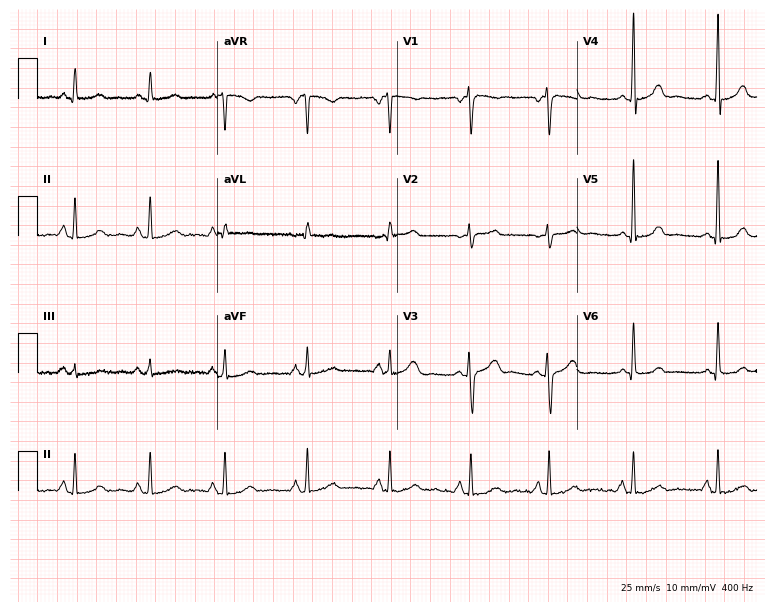
12-lead ECG (7.3-second recording at 400 Hz) from a female patient, 31 years old. Labelled as a normal ECG.